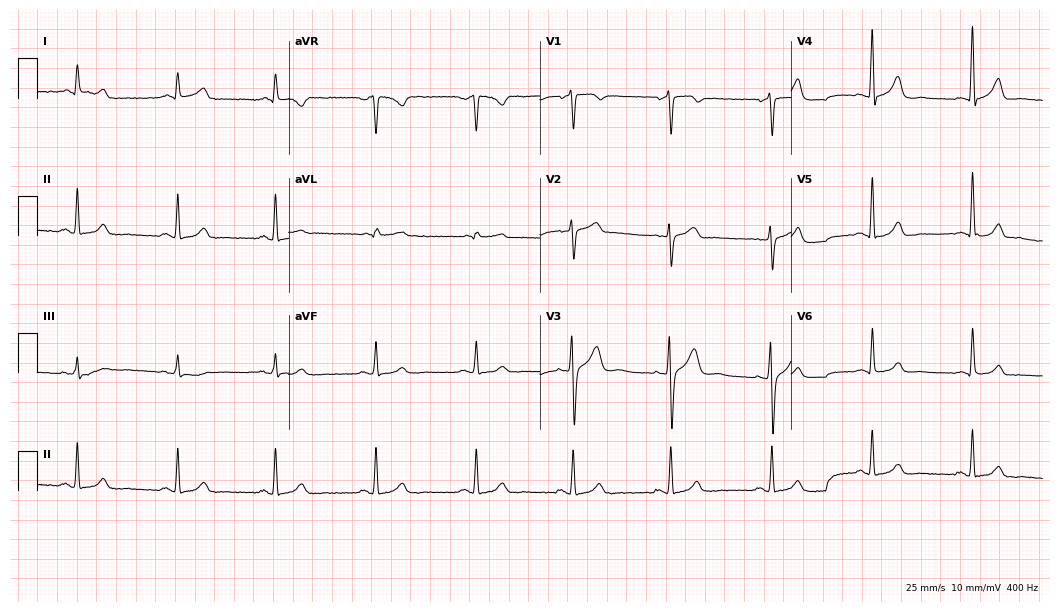
12-lead ECG from a 46-year-old male patient (10.2-second recording at 400 Hz). Recorded interpretation: within normal limits.